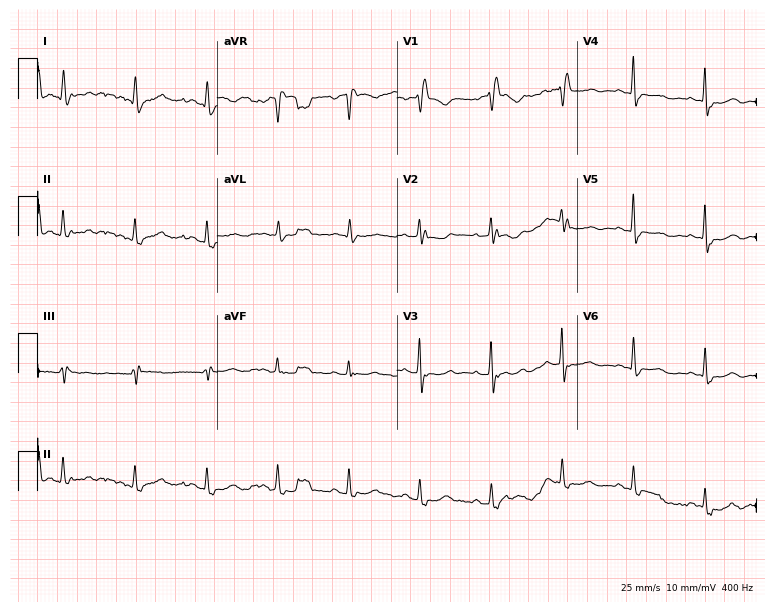
12-lead ECG from a female, 77 years old. Shows right bundle branch block (RBBB).